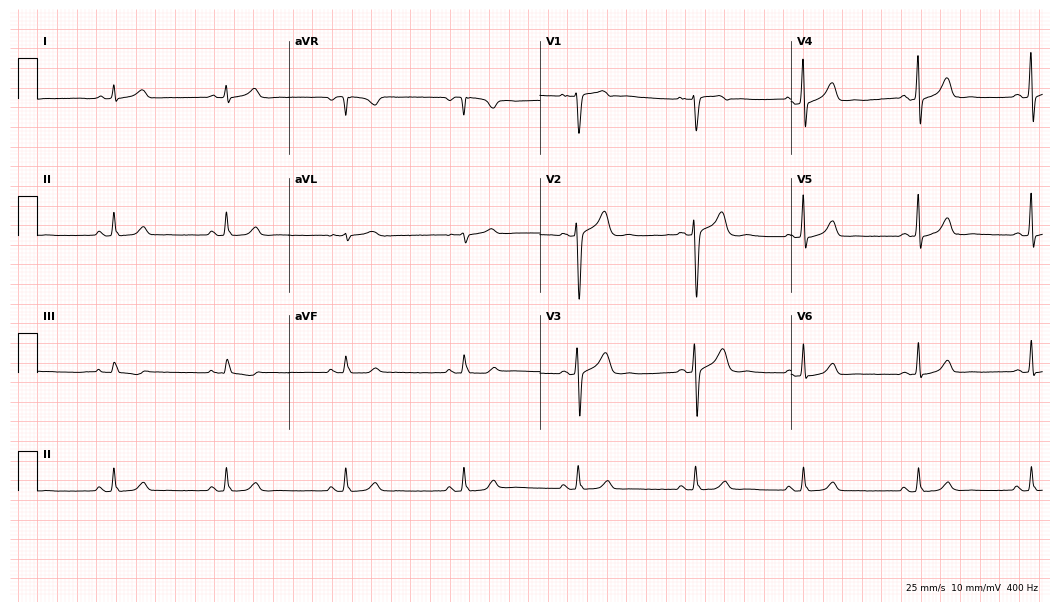
Standard 12-lead ECG recorded from a 41-year-old male patient (10.2-second recording at 400 Hz). Read as a normal ECG.